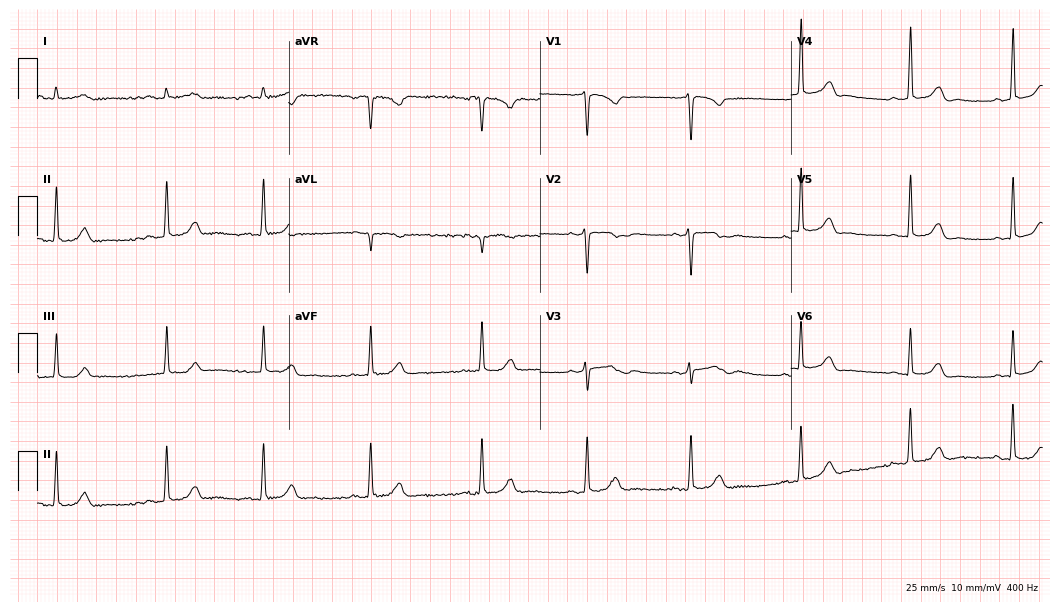
ECG — a 20-year-old woman. Labelled as a normal ECG.